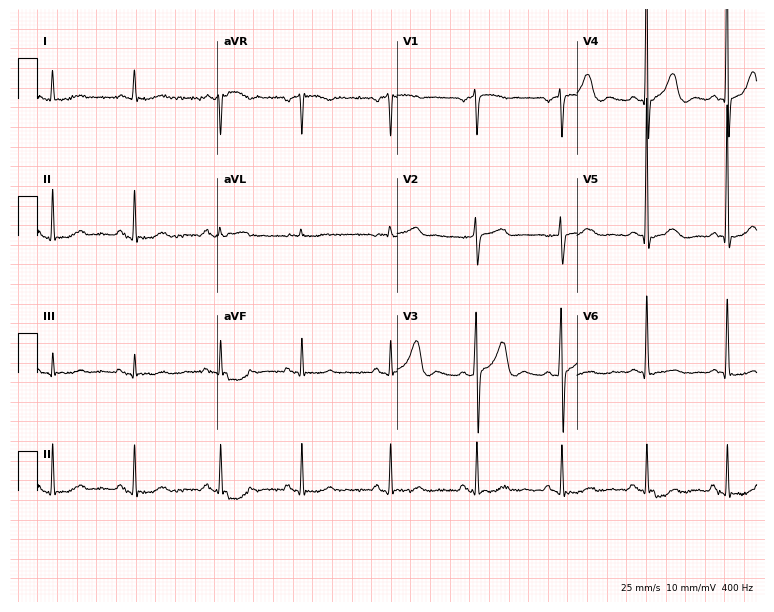
12-lead ECG from an 80-year-old man. No first-degree AV block, right bundle branch block, left bundle branch block, sinus bradycardia, atrial fibrillation or sinus tachycardia recorded for this tracing. Only these six findings were labelled.